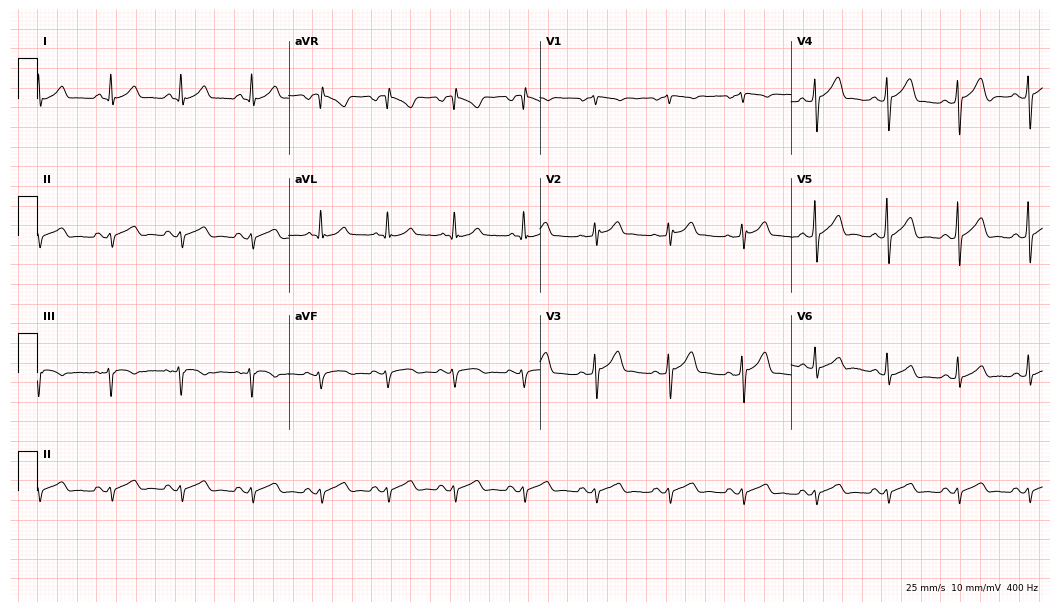
ECG — a man, 40 years old. Screened for six findings — first-degree AV block, right bundle branch block (RBBB), left bundle branch block (LBBB), sinus bradycardia, atrial fibrillation (AF), sinus tachycardia — none is recorded. Only these six findings were labelled.